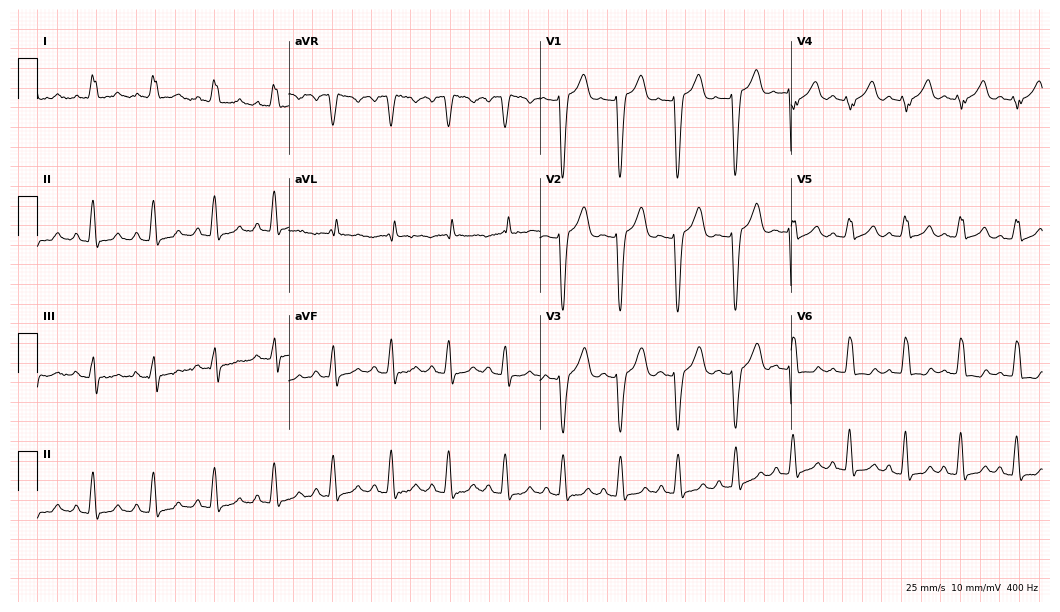
12-lead ECG (10.2-second recording at 400 Hz) from a 66-year-old female patient. Findings include left bundle branch block.